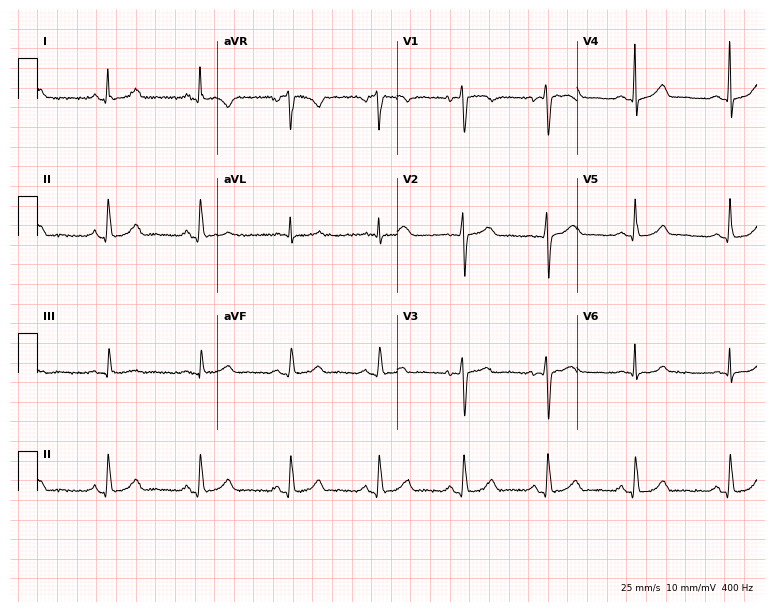
Electrocardiogram (7.3-second recording at 400 Hz), a 43-year-old female patient. Overall reading on record: normal ECG.